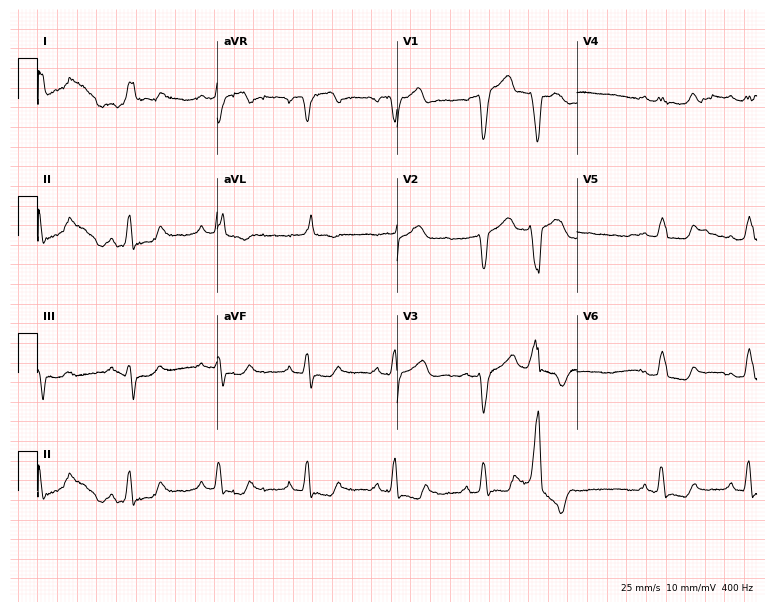
Resting 12-lead electrocardiogram. Patient: a female, 64 years old. The tracing shows left bundle branch block.